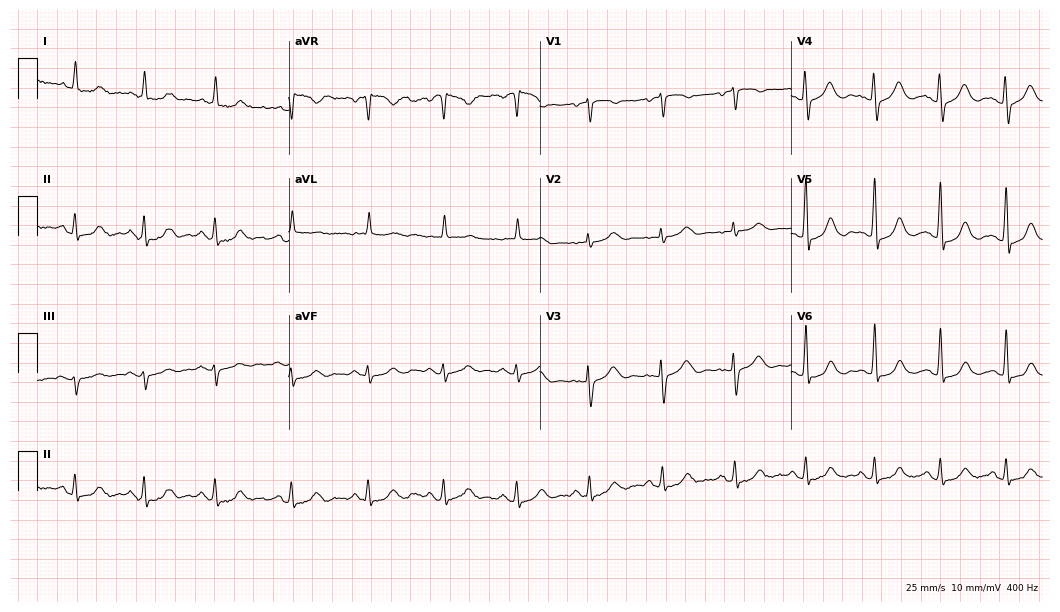
12-lead ECG from a female, 66 years old. Labelled as a normal ECG.